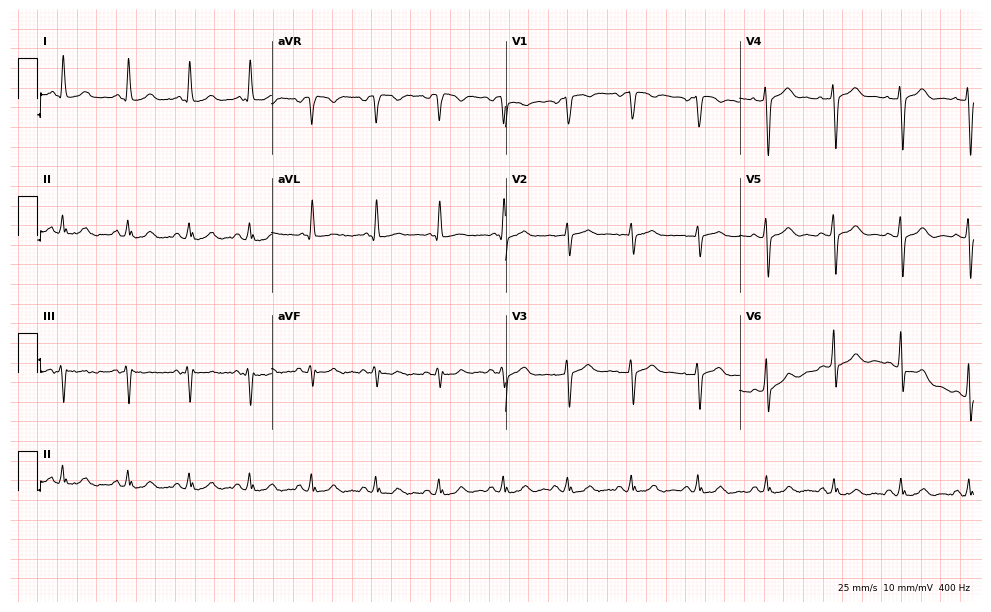
Electrocardiogram, a woman, 45 years old. Of the six screened findings (first-degree AV block, right bundle branch block, left bundle branch block, sinus bradycardia, atrial fibrillation, sinus tachycardia), none is recorded.